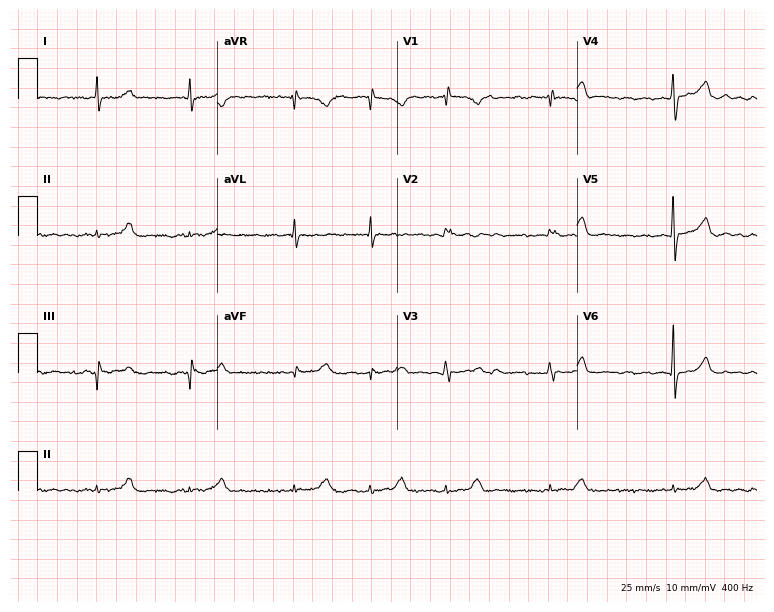
Resting 12-lead electrocardiogram (7.3-second recording at 400 Hz). Patient: a male, 53 years old. The tracing shows atrial fibrillation.